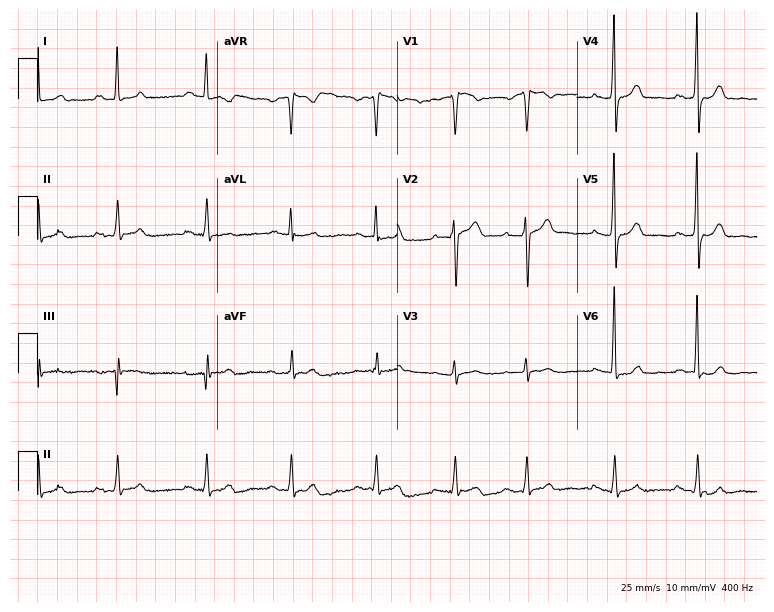
ECG (7.3-second recording at 400 Hz) — a man, 62 years old. Screened for six findings — first-degree AV block, right bundle branch block (RBBB), left bundle branch block (LBBB), sinus bradycardia, atrial fibrillation (AF), sinus tachycardia — none is recorded. Findings outside these six are not listed.